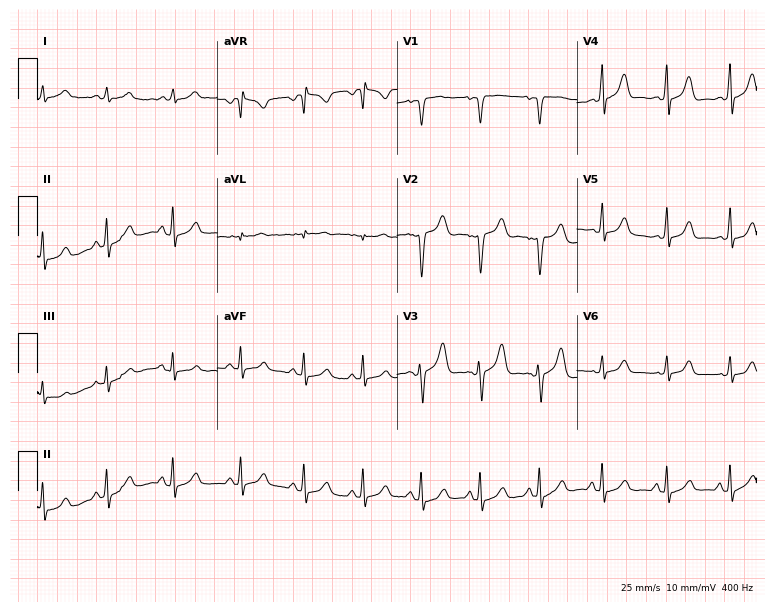
Electrocardiogram, a 29-year-old female patient. Of the six screened findings (first-degree AV block, right bundle branch block (RBBB), left bundle branch block (LBBB), sinus bradycardia, atrial fibrillation (AF), sinus tachycardia), none is recorded. Other findings, if any, are not listed.